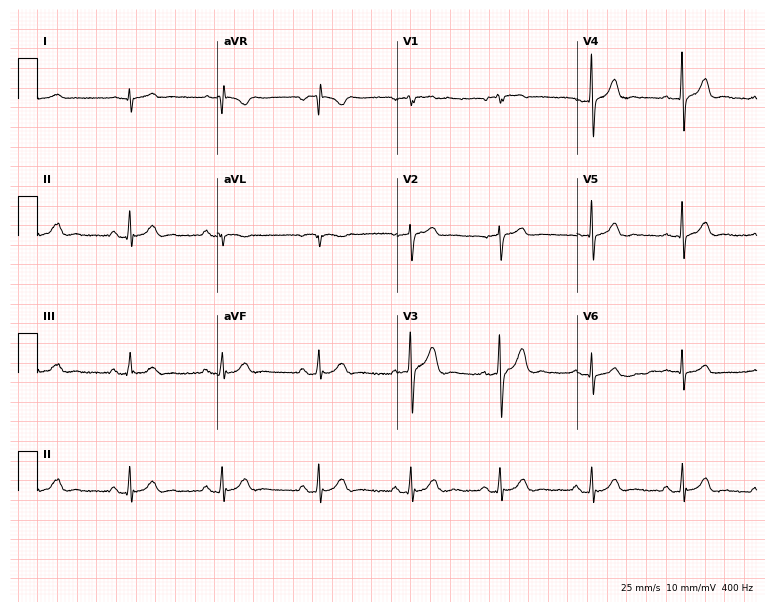
12-lead ECG from a male patient, 55 years old (7.3-second recording at 400 Hz). Recorded interpretation: within normal limits.